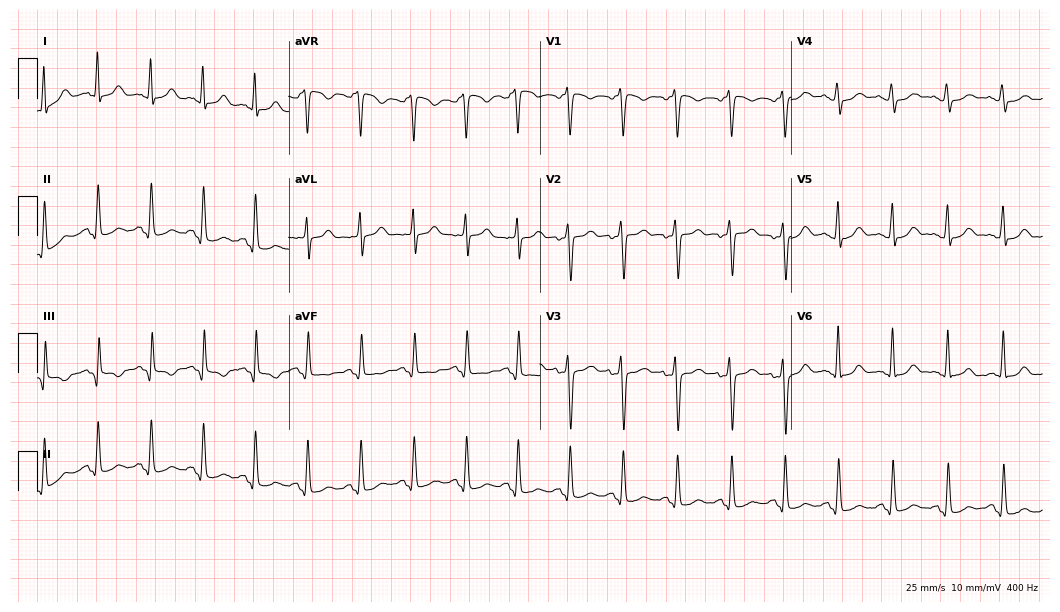
12-lead ECG from a female patient, 21 years old. Shows sinus tachycardia (a sinus rate of 100 beats per minute or more).